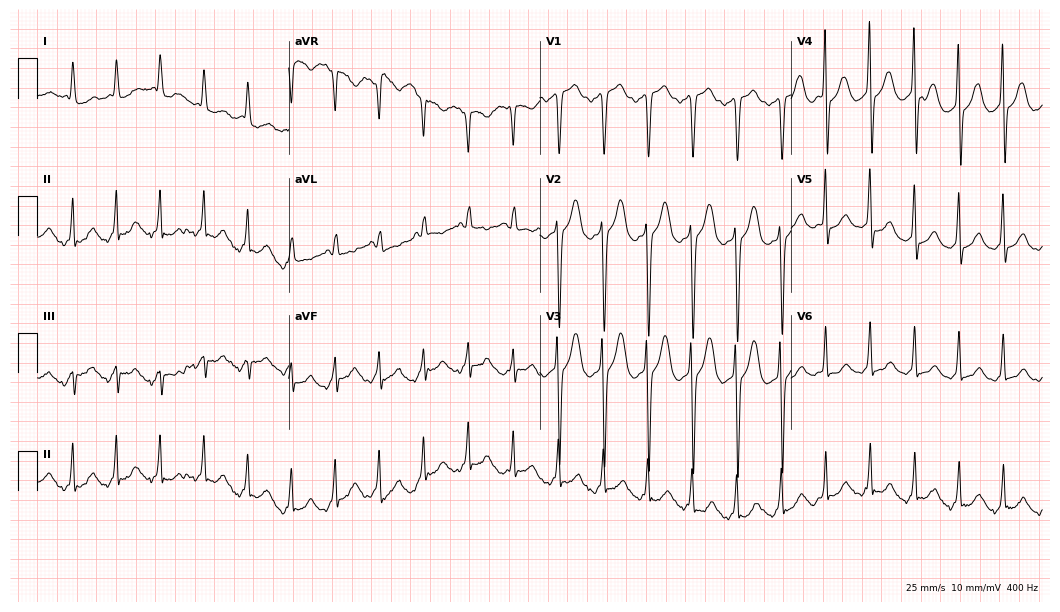
12-lead ECG from a 74-year-old woman (10.2-second recording at 400 Hz). Shows atrial fibrillation.